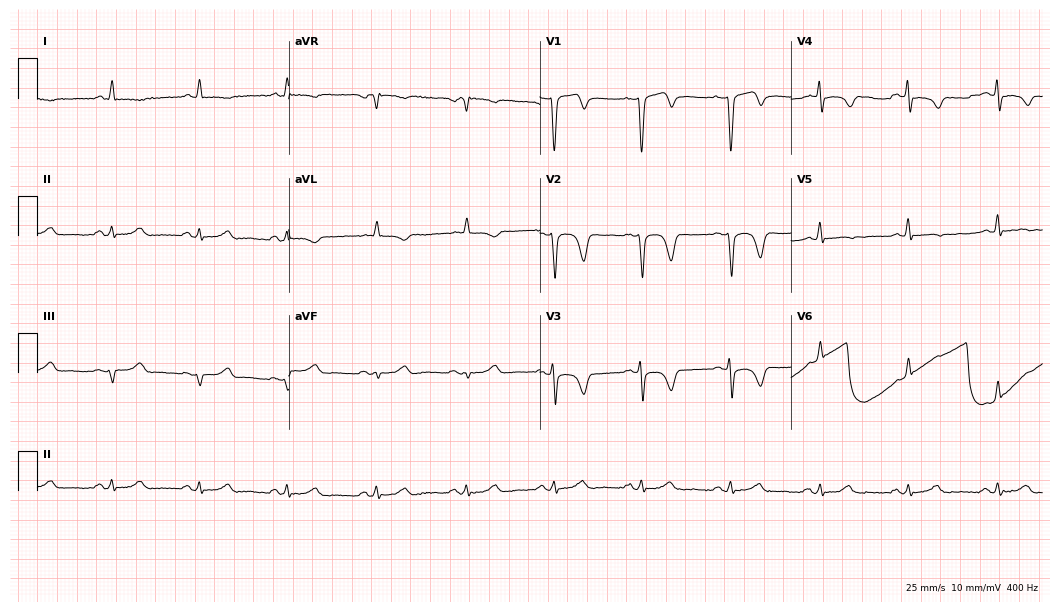
Electrocardiogram, a male, 81 years old. Overall reading on record: normal ECG.